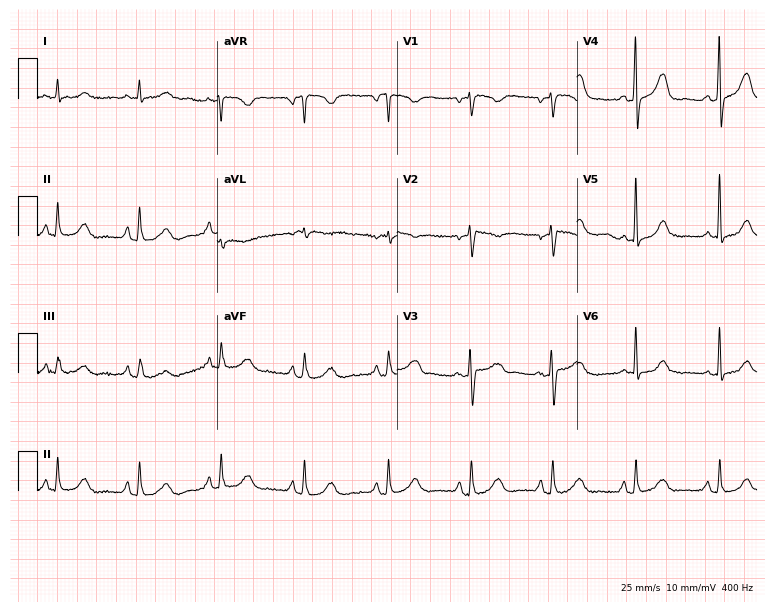
Standard 12-lead ECG recorded from a female, 55 years old (7.3-second recording at 400 Hz). None of these six findings is recorded: first-degree AV block, right bundle branch block (RBBB), left bundle branch block (LBBB), sinus bradycardia, atrial fibrillation (AF), sinus tachycardia.